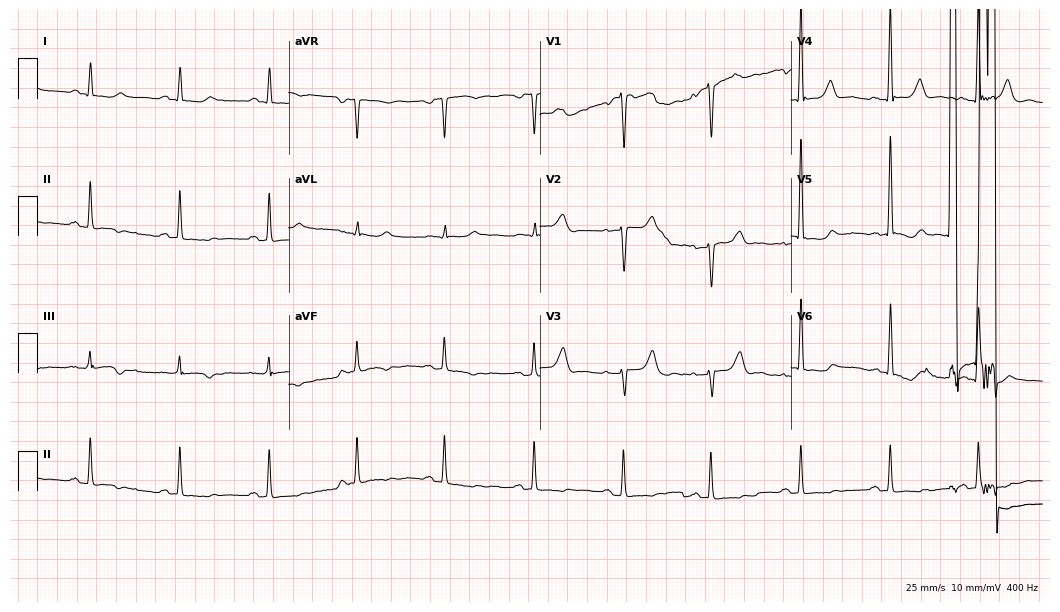
12-lead ECG from a 71-year-old male (10.2-second recording at 400 Hz). No first-degree AV block, right bundle branch block, left bundle branch block, sinus bradycardia, atrial fibrillation or sinus tachycardia recorded for this tracing.